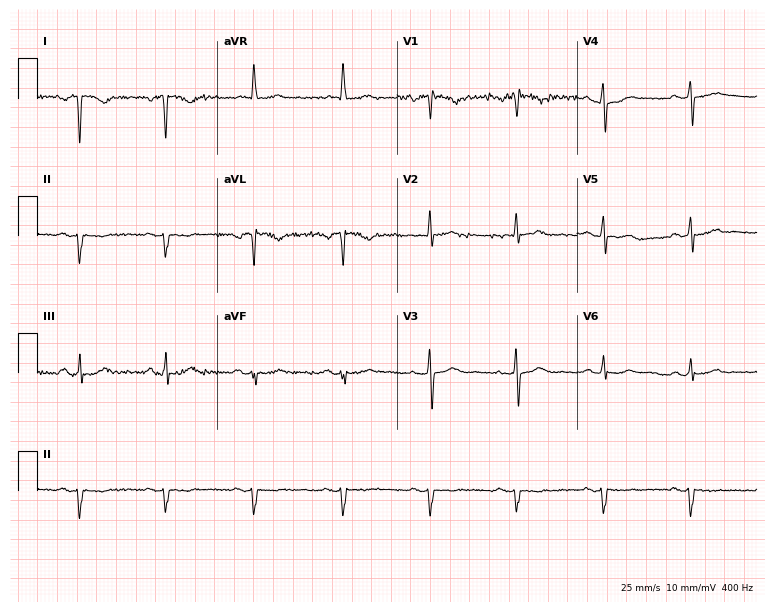
12-lead ECG from a 67-year-old woman. Screened for six findings — first-degree AV block, right bundle branch block, left bundle branch block, sinus bradycardia, atrial fibrillation, sinus tachycardia — none is recorded. Findings outside these six are not listed.